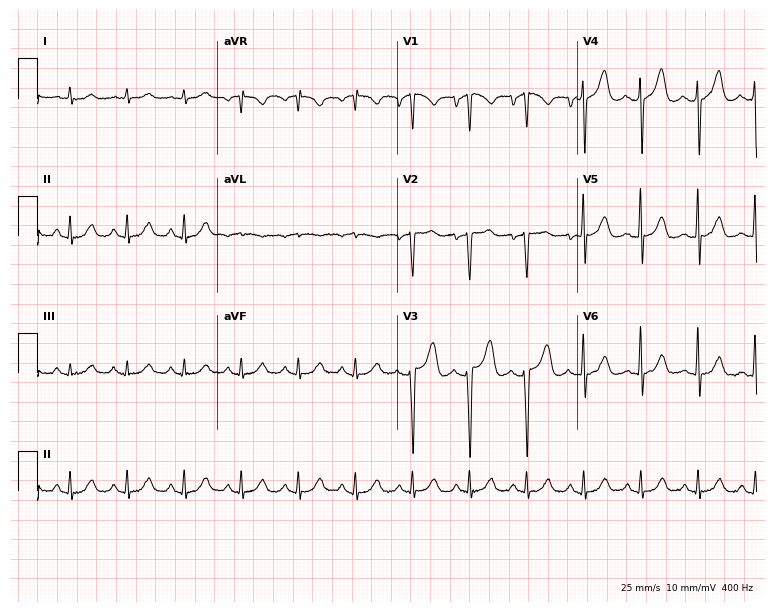
Standard 12-lead ECG recorded from a 66-year-old male patient (7.3-second recording at 400 Hz). The tracing shows sinus tachycardia (a sinus rate of 100 beats per minute or more).